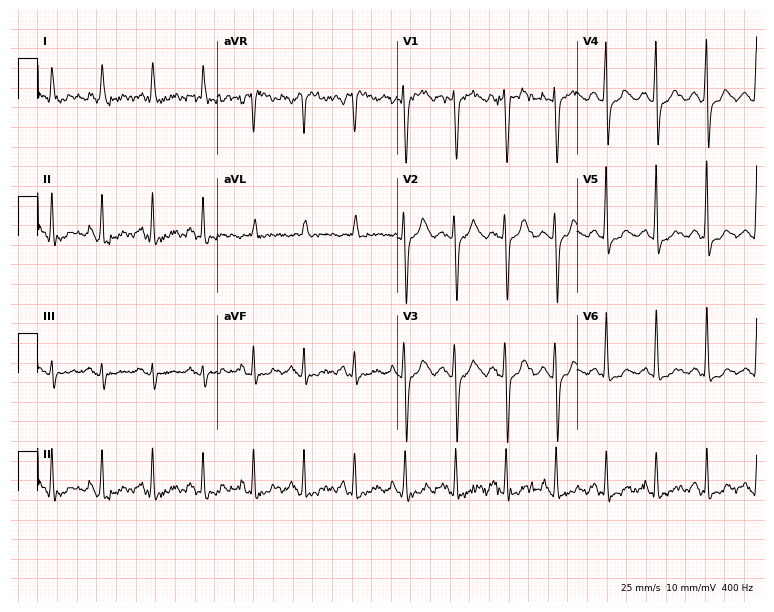
12-lead ECG from a 56-year-old female patient (7.3-second recording at 400 Hz). No first-degree AV block, right bundle branch block (RBBB), left bundle branch block (LBBB), sinus bradycardia, atrial fibrillation (AF) or sinus tachycardia recorded for this tracing. Other findings, if any, are not listed.